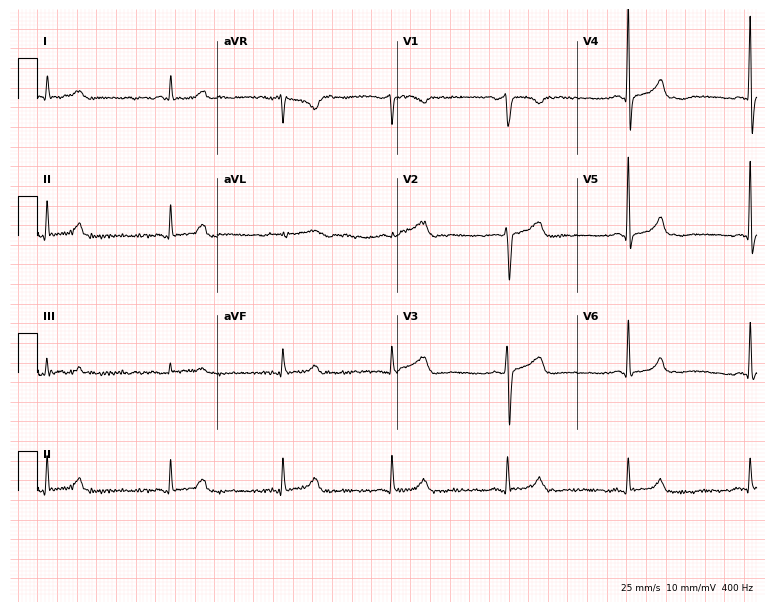
ECG (7.3-second recording at 400 Hz) — a 64-year-old female. Findings include sinus bradycardia (a sinus rate of 50 beats per minute or less).